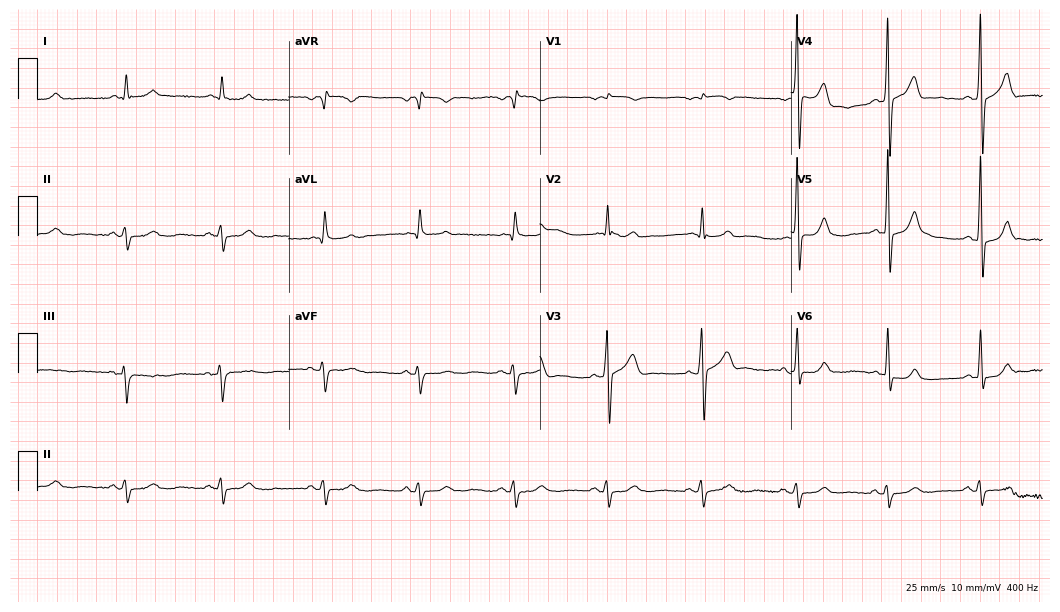
ECG (10.2-second recording at 400 Hz) — a 54-year-old man. Screened for six findings — first-degree AV block, right bundle branch block, left bundle branch block, sinus bradycardia, atrial fibrillation, sinus tachycardia — none is recorded.